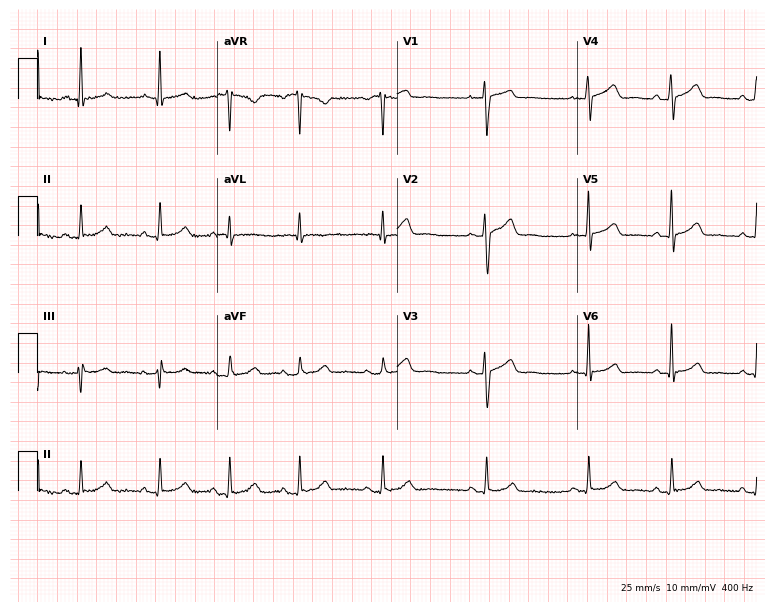
Resting 12-lead electrocardiogram. Patient: a 35-year-old woman. Read as a normal ECG.